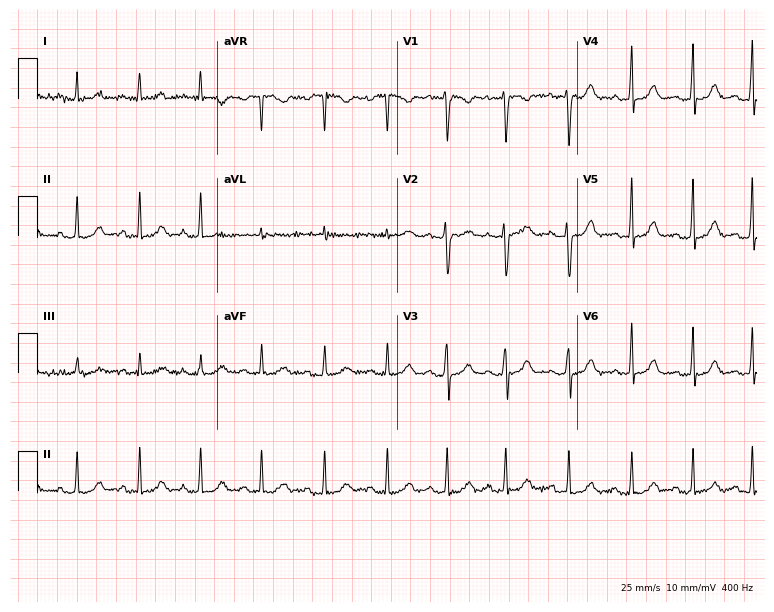
Standard 12-lead ECG recorded from a female, 18 years old (7.3-second recording at 400 Hz). Read as a normal ECG.